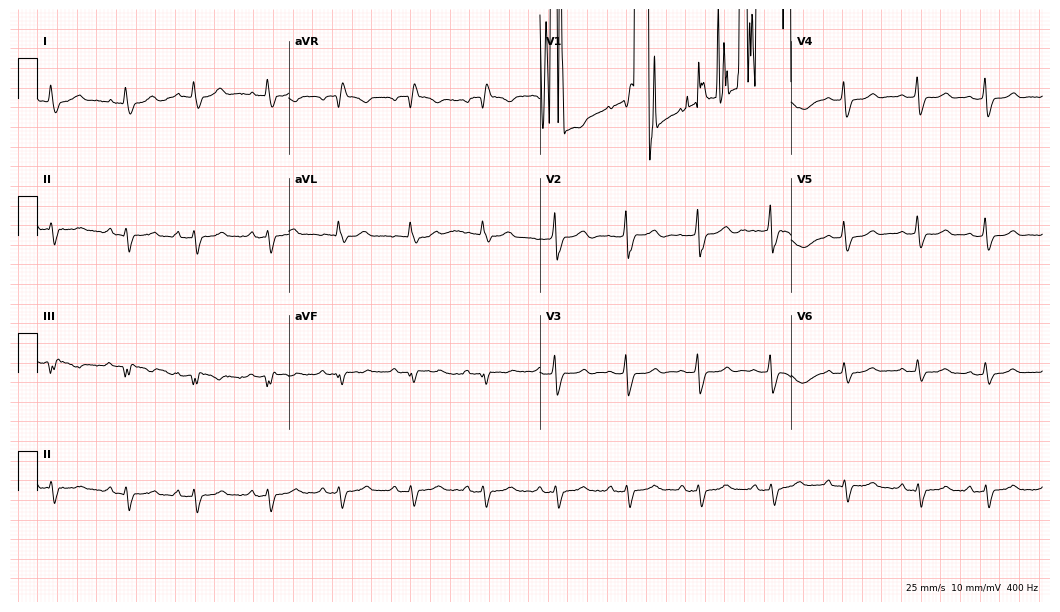
Resting 12-lead electrocardiogram (10.2-second recording at 400 Hz). Patient: a woman, 28 years old. None of these six findings is recorded: first-degree AV block, right bundle branch block, left bundle branch block, sinus bradycardia, atrial fibrillation, sinus tachycardia. Only these six findings were labelled.